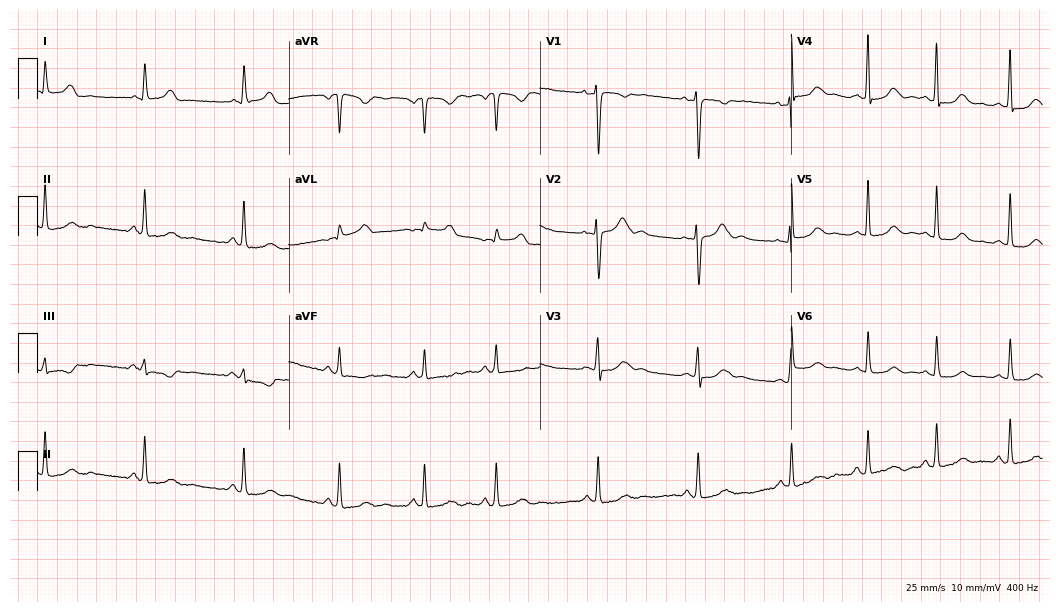
ECG (10.2-second recording at 400 Hz) — a 33-year-old female. Screened for six findings — first-degree AV block, right bundle branch block, left bundle branch block, sinus bradycardia, atrial fibrillation, sinus tachycardia — none is recorded. Only these six findings were labelled.